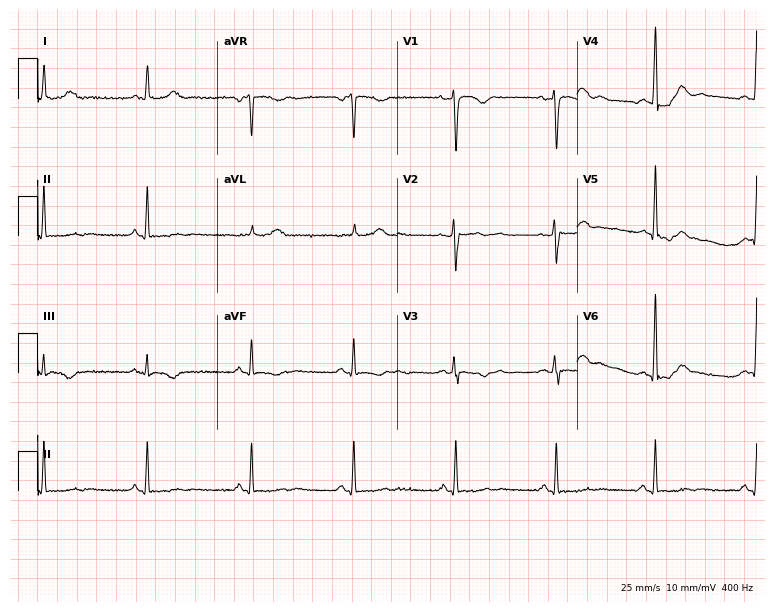
12-lead ECG (7.3-second recording at 400 Hz) from a 46-year-old woman. Screened for six findings — first-degree AV block, right bundle branch block, left bundle branch block, sinus bradycardia, atrial fibrillation, sinus tachycardia — none is recorded.